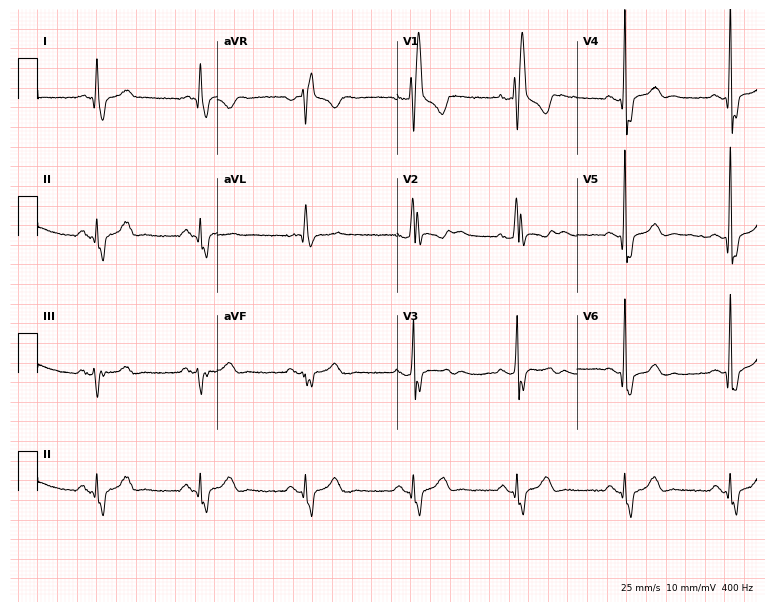
ECG (7.3-second recording at 400 Hz) — a 41-year-old male patient. Findings include right bundle branch block (RBBB).